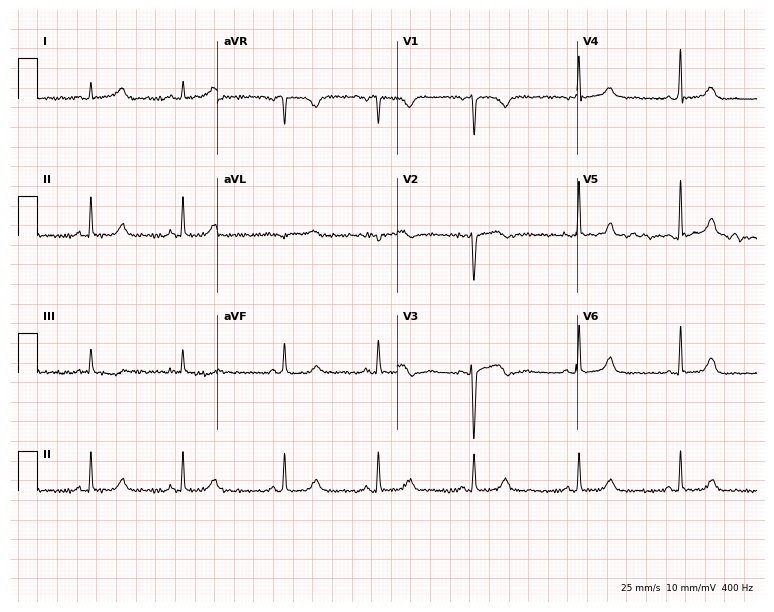
Standard 12-lead ECG recorded from a 30-year-old female. None of these six findings is recorded: first-degree AV block, right bundle branch block (RBBB), left bundle branch block (LBBB), sinus bradycardia, atrial fibrillation (AF), sinus tachycardia.